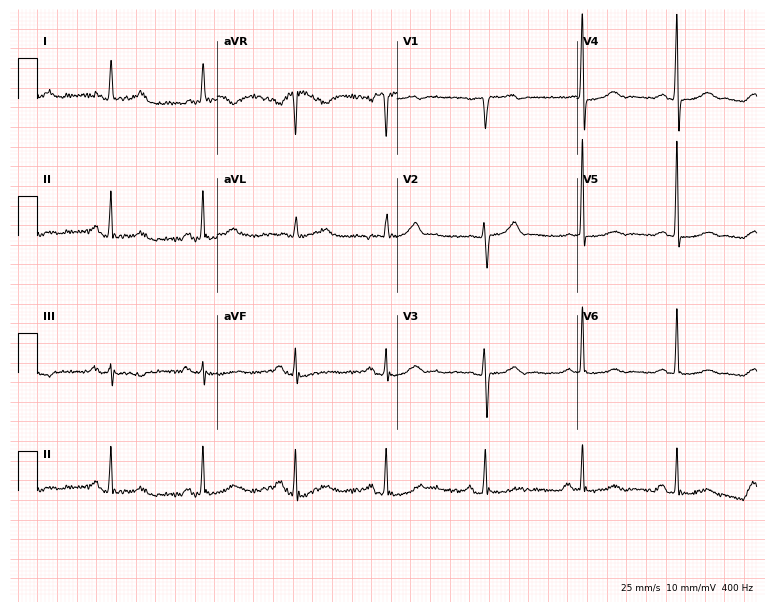
Resting 12-lead electrocardiogram. Patient: a 77-year-old woman. Read as a normal ECG.